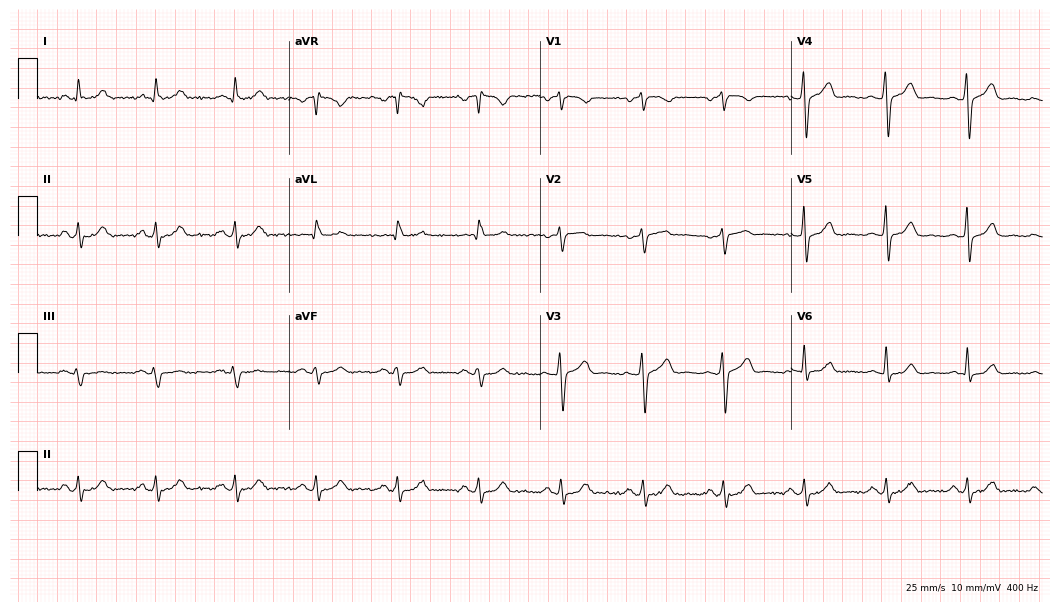
Electrocardiogram, a male patient, 61 years old. Overall reading on record: normal ECG.